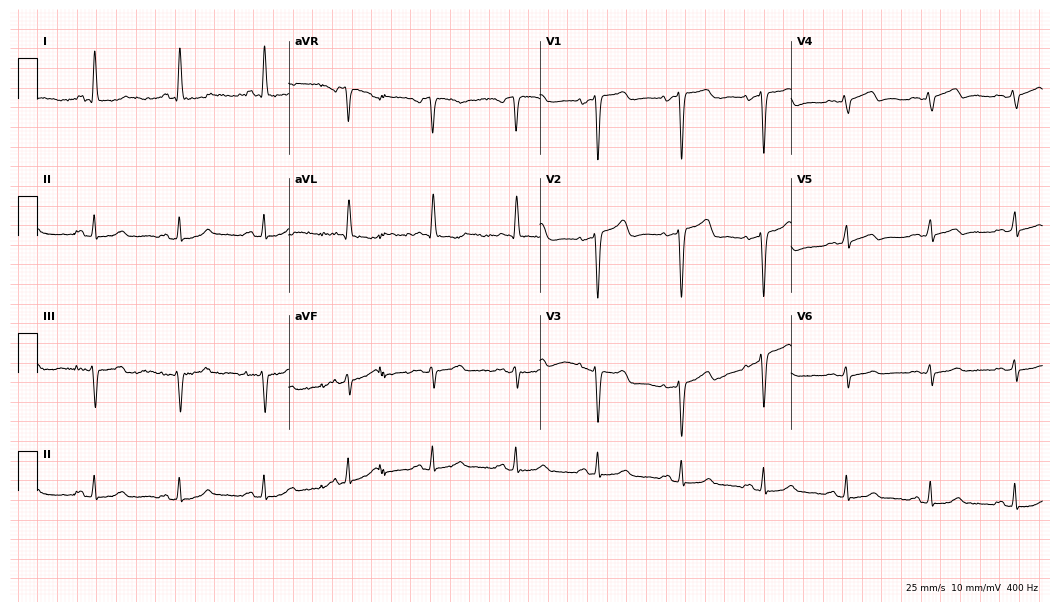
12-lead ECG (10.2-second recording at 400 Hz) from an 80-year-old male patient. Screened for six findings — first-degree AV block, right bundle branch block, left bundle branch block, sinus bradycardia, atrial fibrillation, sinus tachycardia — none is recorded. Findings outside these six are not listed.